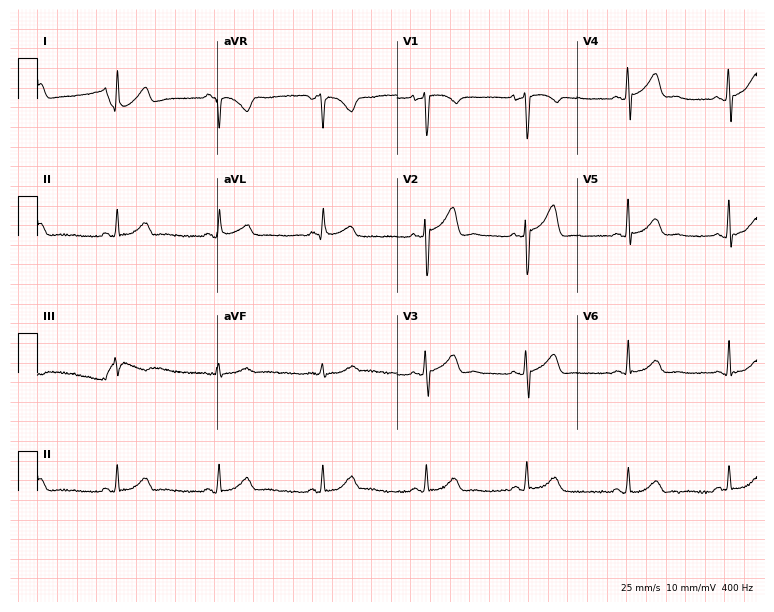
Standard 12-lead ECG recorded from a 32-year-old man (7.3-second recording at 400 Hz). Read as a normal ECG.